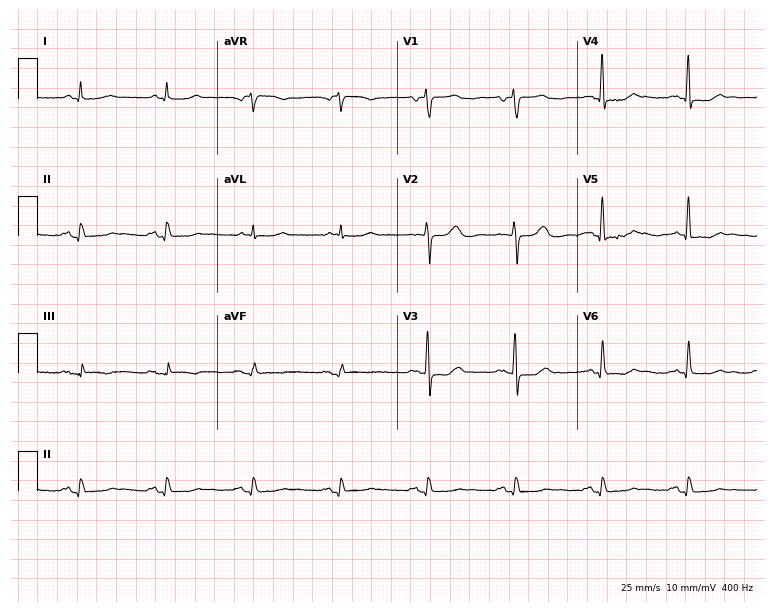
Standard 12-lead ECG recorded from a man, 65 years old. None of these six findings is recorded: first-degree AV block, right bundle branch block, left bundle branch block, sinus bradycardia, atrial fibrillation, sinus tachycardia.